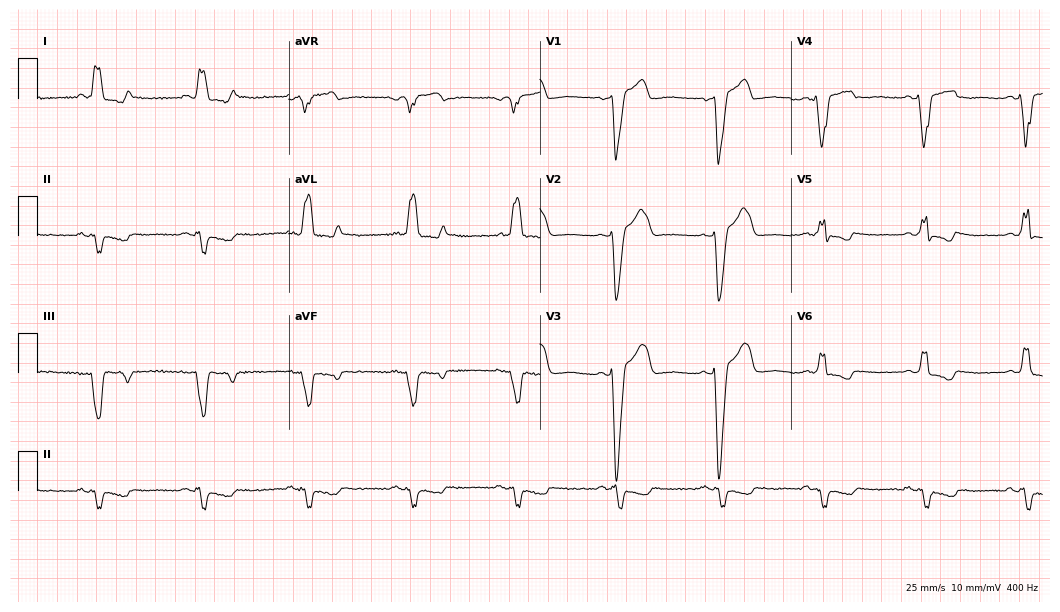
12-lead ECG from a man, 75 years old. Findings include left bundle branch block.